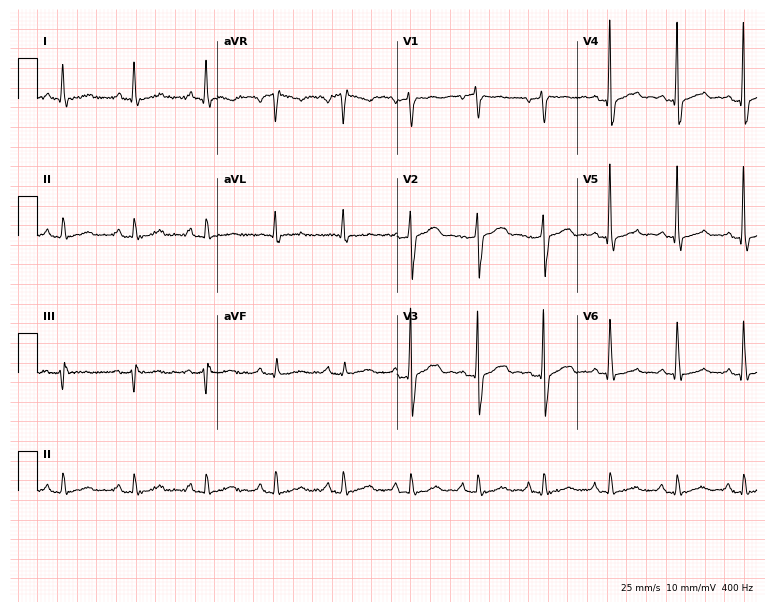
Standard 12-lead ECG recorded from a man, 58 years old (7.3-second recording at 400 Hz). None of these six findings is recorded: first-degree AV block, right bundle branch block, left bundle branch block, sinus bradycardia, atrial fibrillation, sinus tachycardia.